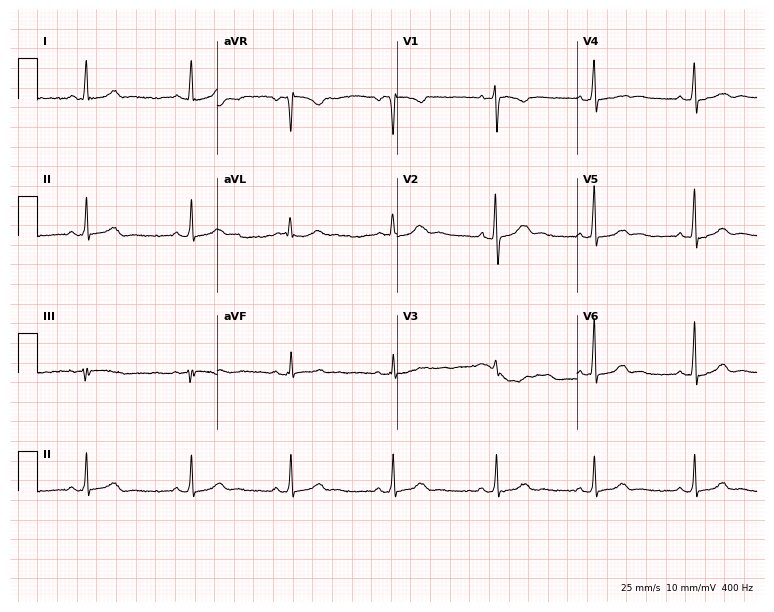
Standard 12-lead ECG recorded from a 42-year-old female. Read as a normal ECG.